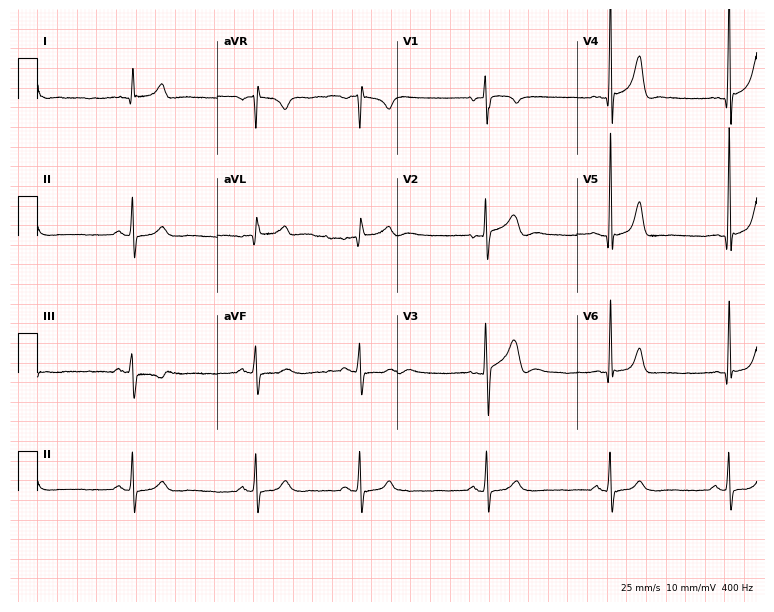
ECG (7.3-second recording at 400 Hz) — a male patient, 32 years old. Labelled as a normal ECG.